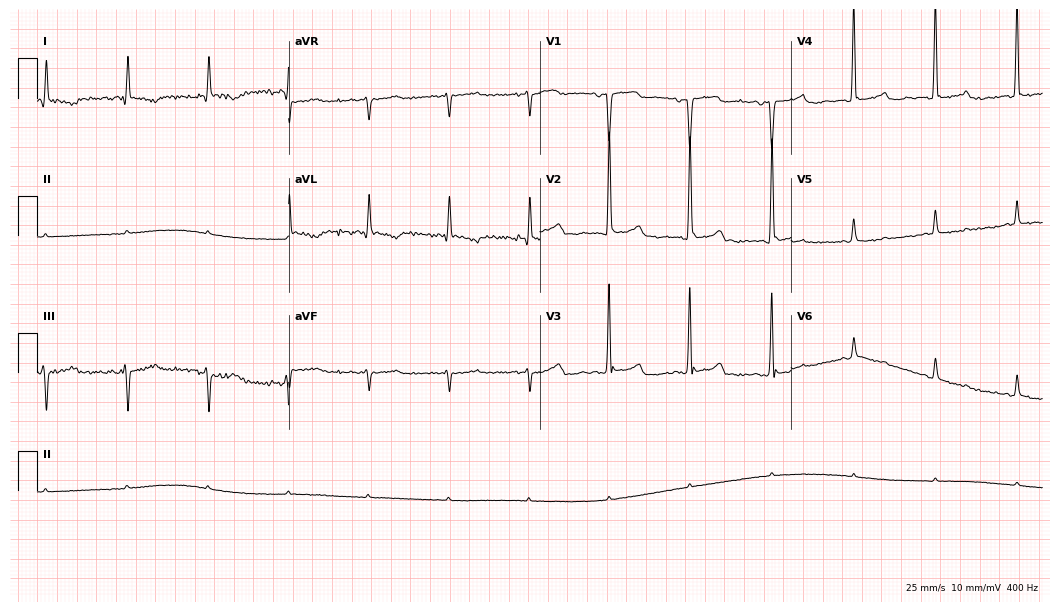
Resting 12-lead electrocardiogram. Patient: a woman, 71 years old. None of these six findings is recorded: first-degree AV block, right bundle branch block, left bundle branch block, sinus bradycardia, atrial fibrillation, sinus tachycardia. Only these six findings were labelled.